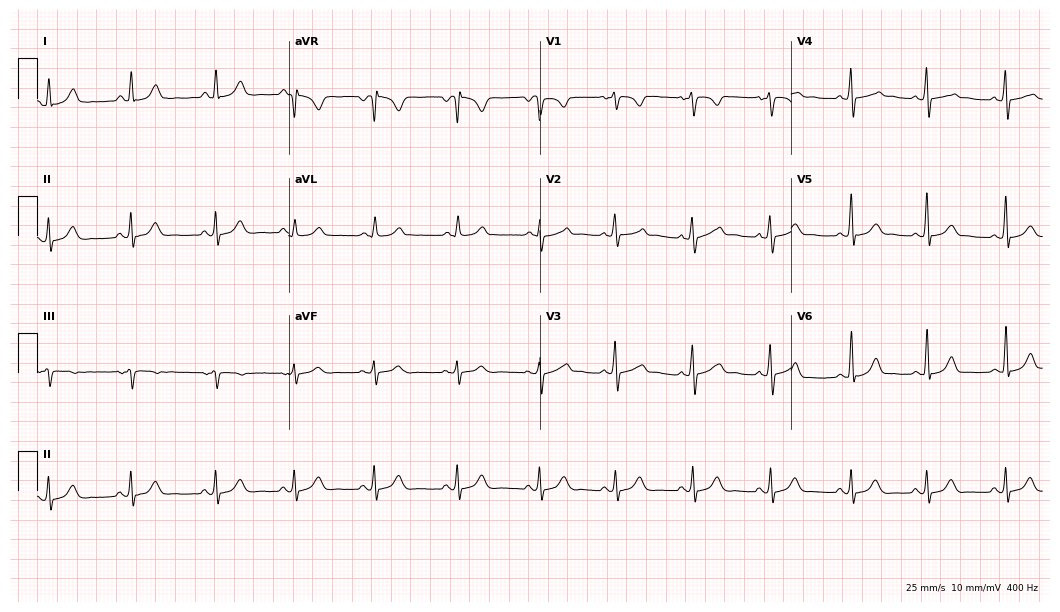
12-lead ECG (10.2-second recording at 400 Hz) from a female patient, 23 years old. Labelled as a normal ECG.